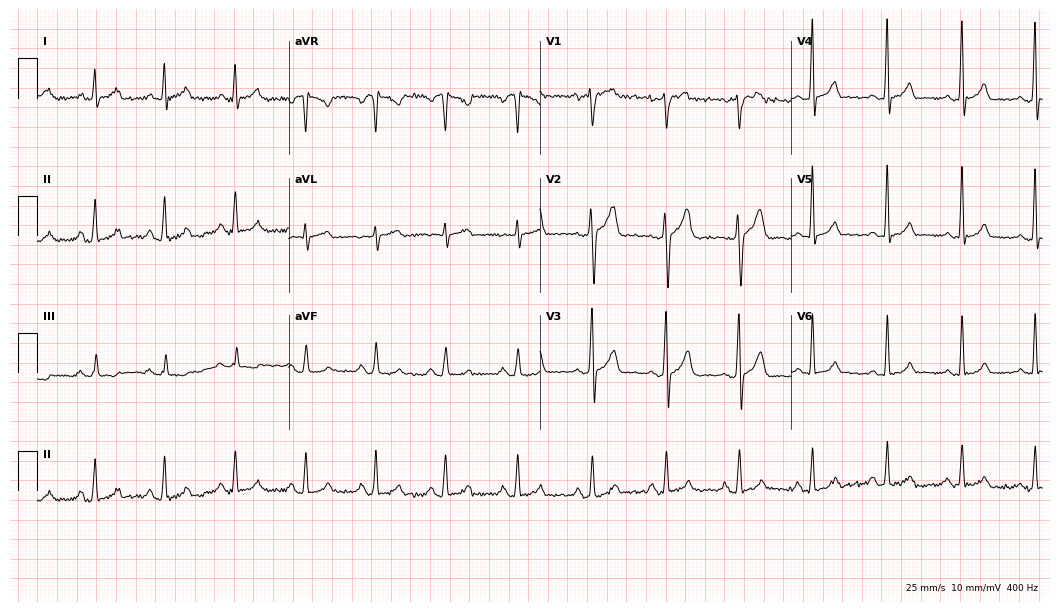
Standard 12-lead ECG recorded from a man, 33 years old. Read as a normal ECG.